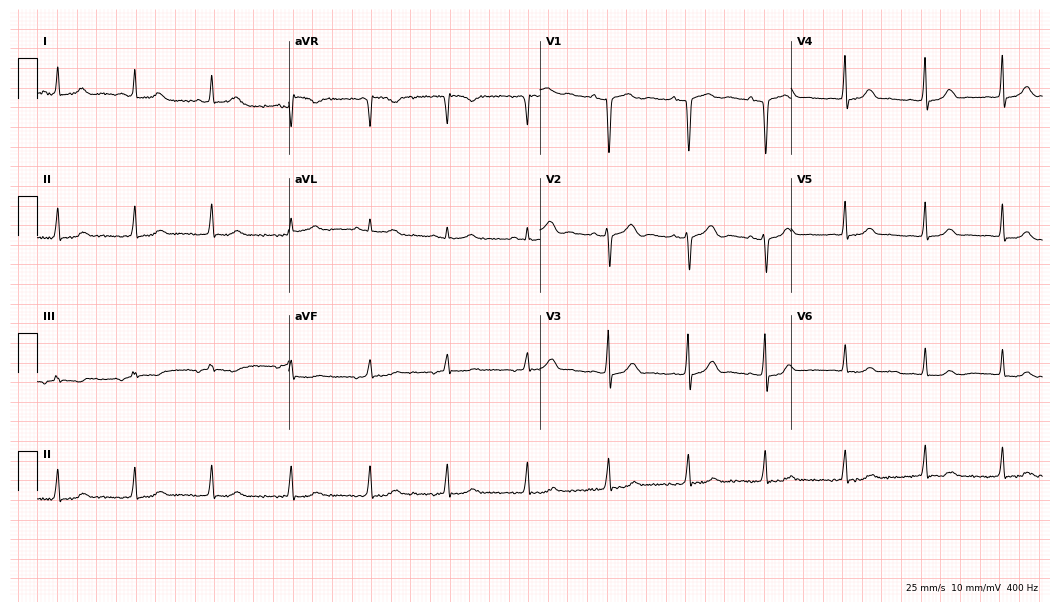
12-lead ECG (10.2-second recording at 400 Hz) from a 35-year-old female. Screened for six findings — first-degree AV block, right bundle branch block, left bundle branch block, sinus bradycardia, atrial fibrillation, sinus tachycardia — none is recorded. Other findings, if any, are not listed.